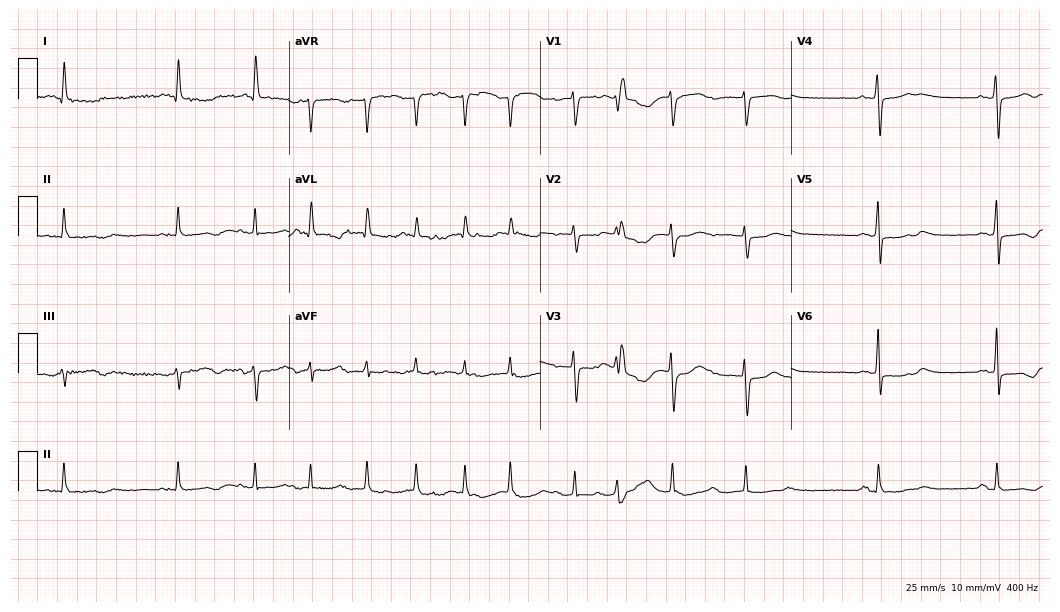
Electrocardiogram (10.2-second recording at 400 Hz), a 64-year-old female. Of the six screened findings (first-degree AV block, right bundle branch block (RBBB), left bundle branch block (LBBB), sinus bradycardia, atrial fibrillation (AF), sinus tachycardia), none is recorded.